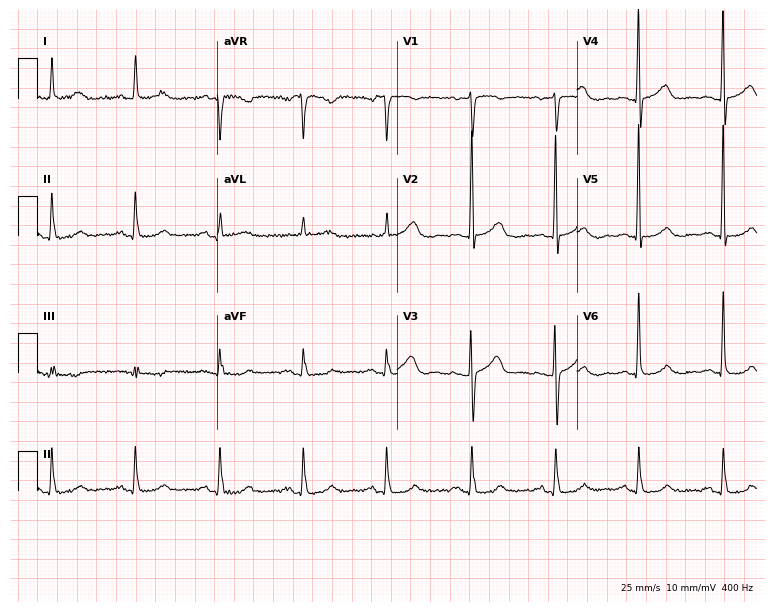
12-lead ECG from a 61-year-old female patient. Labelled as a normal ECG.